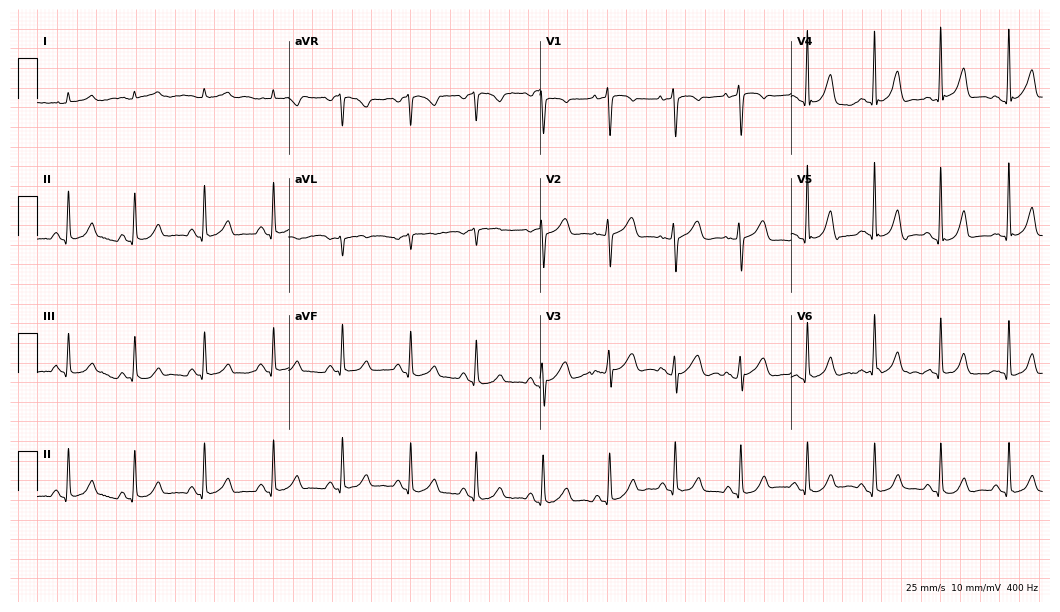
Electrocardiogram, a 78-year-old female patient. Overall reading on record: normal ECG.